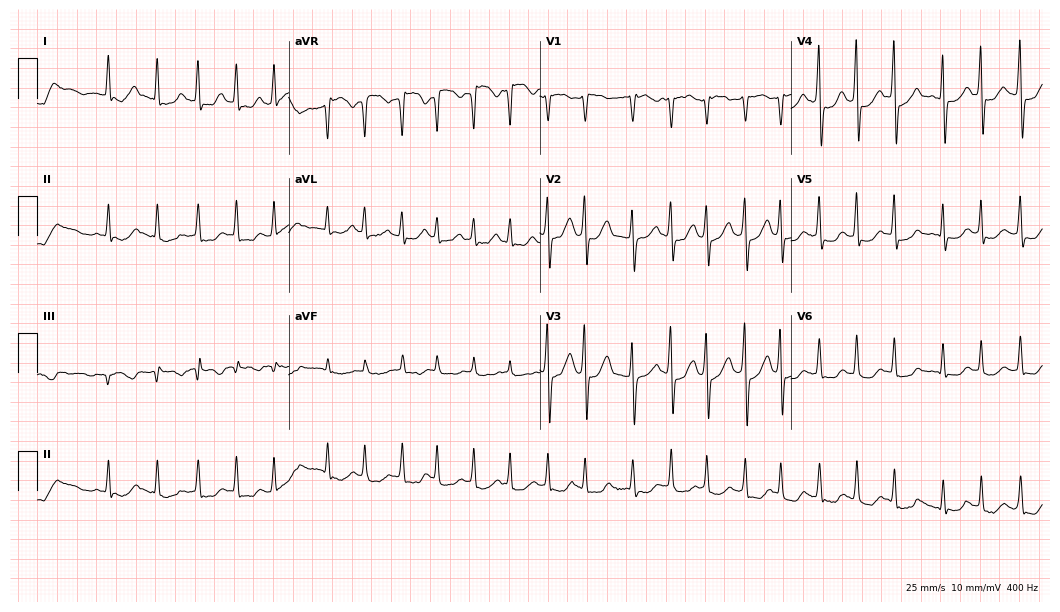
12-lead ECG (10.2-second recording at 400 Hz) from a female, 80 years old. Findings include atrial fibrillation.